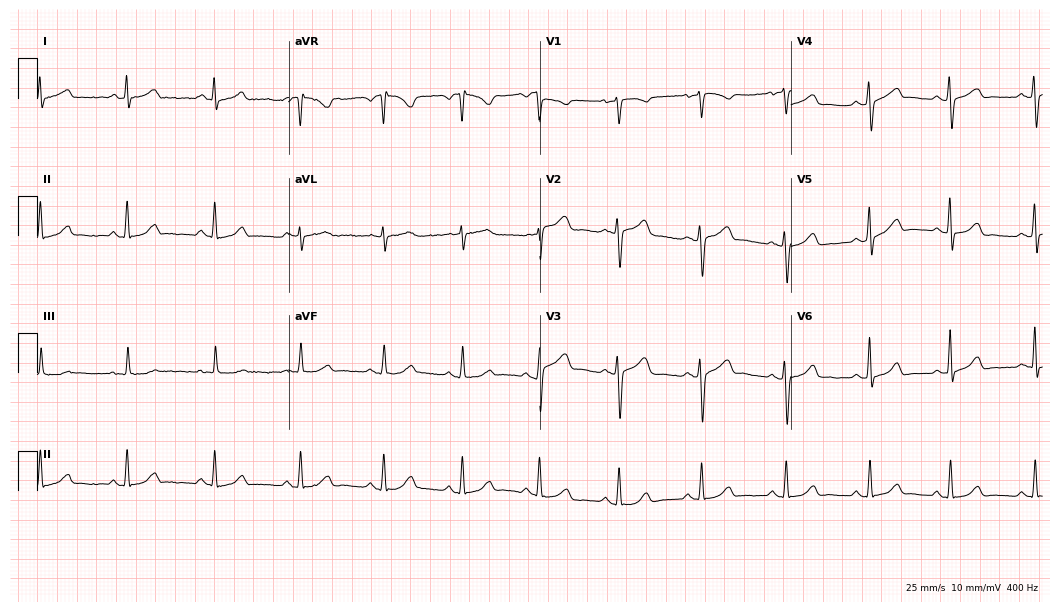
12-lead ECG (10.2-second recording at 400 Hz) from a female patient, 26 years old. Labelled as a normal ECG.